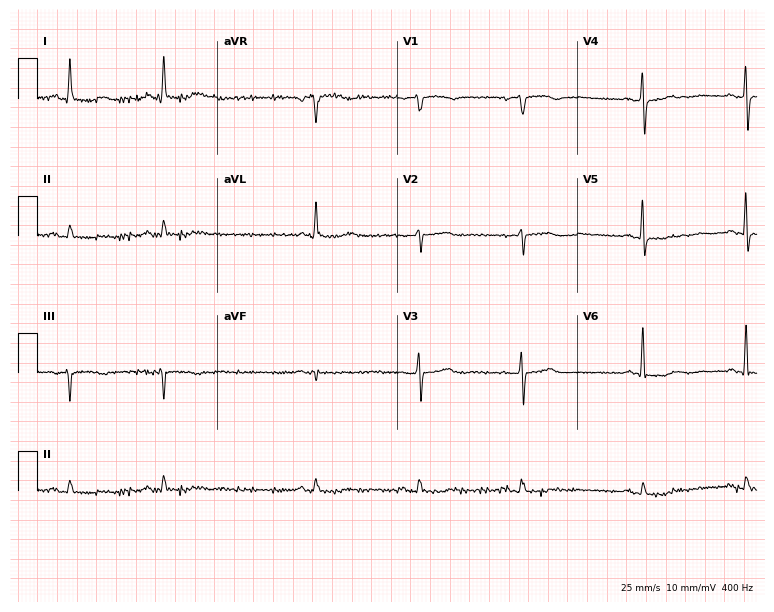
Electrocardiogram (7.3-second recording at 400 Hz), a 74-year-old female. Of the six screened findings (first-degree AV block, right bundle branch block, left bundle branch block, sinus bradycardia, atrial fibrillation, sinus tachycardia), none is recorded.